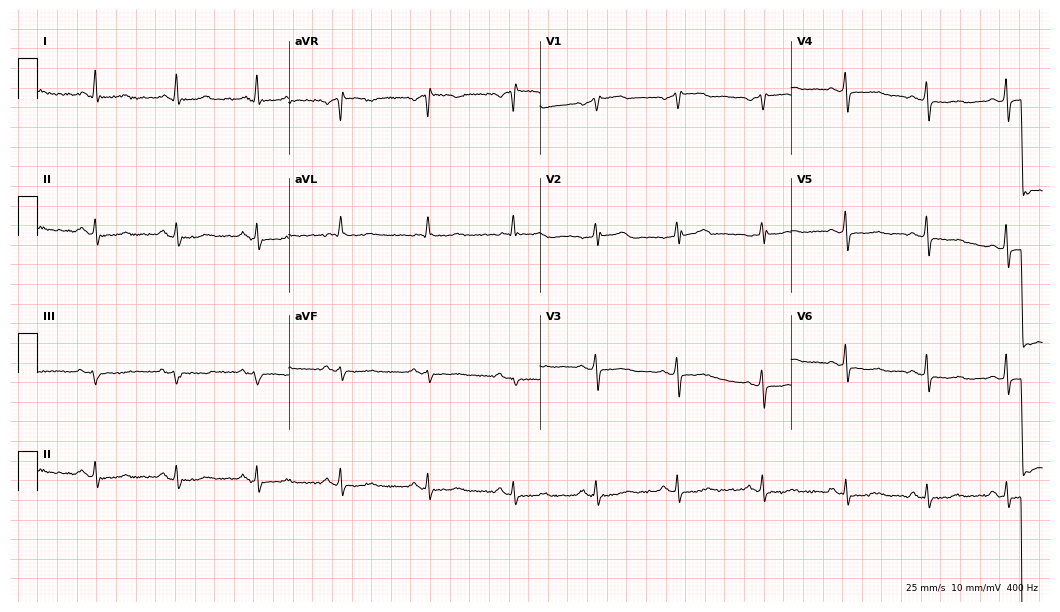
ECG (10.2-second recording at 400 Hz) — a female, 60 years old. Screened for six findings — first-degree AV block, right bundle branch block, left bundle branch block, sinus bradycardia, atrial fibrillation, sinus tachycardia — none is recorded. Findings outside these six are not listed.